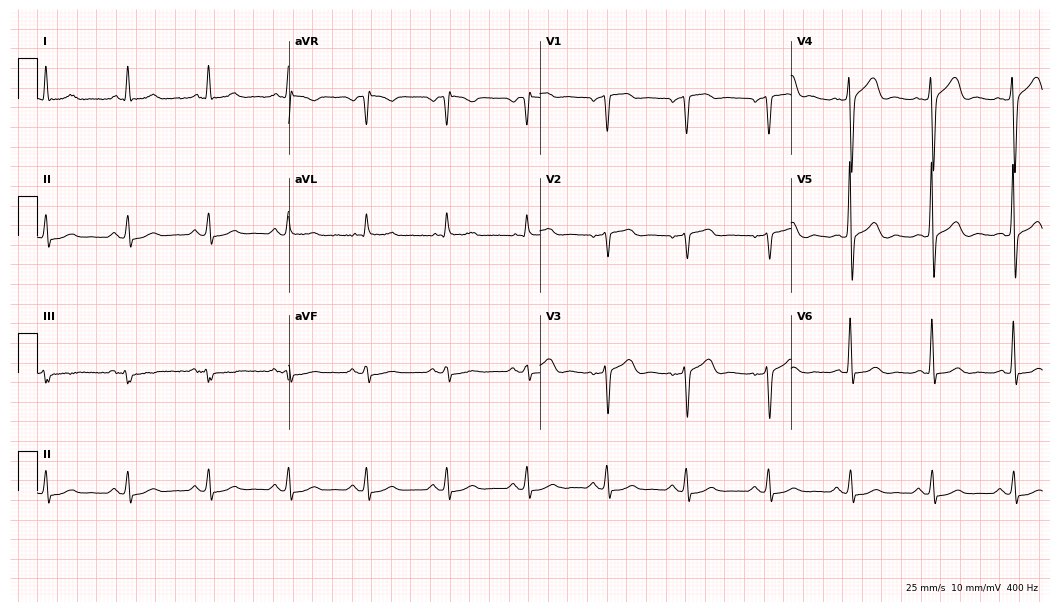
Electrocardiogram (10.2-second recording at 400 Hz), a man, 58 years old. Overall reading on record: normal ECG.